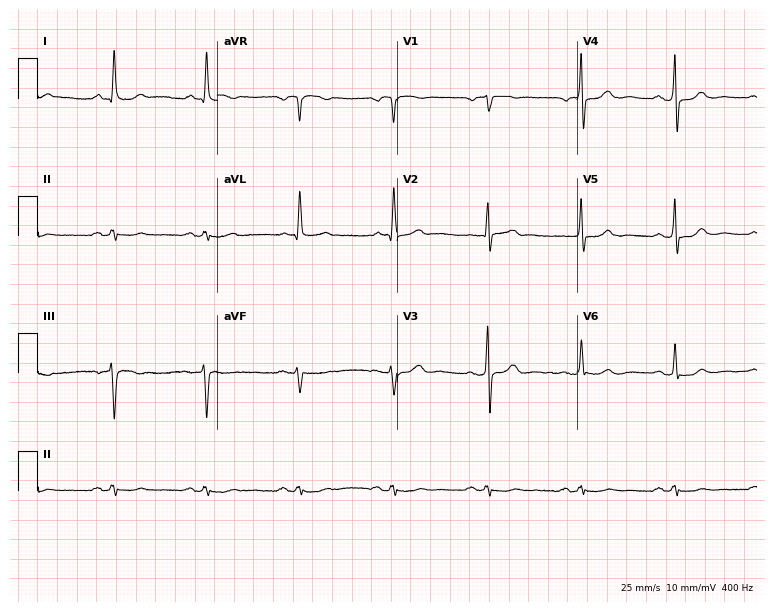
12-lead ECG (7.3-second recording at 400 Hz) from a man, 79 years old. Screened for six findings — first-degree AV block, right bundle branch block (RBBB), left bundle branch block (LBBB), sinus bradycardia, atrial fibrillation (AF), sinus tachycardia — none is recorded.